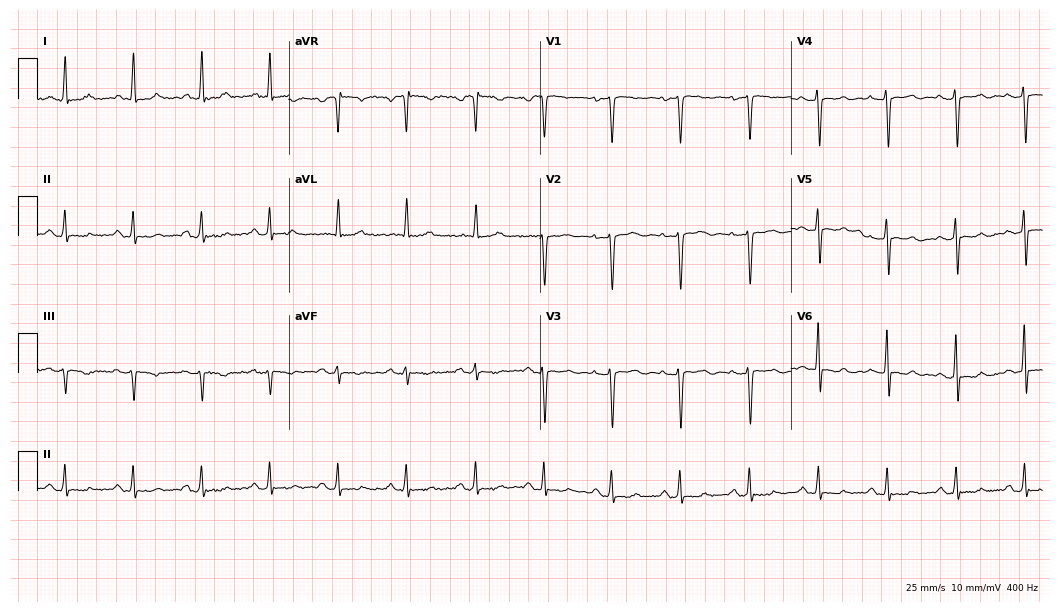
12-lead ECG from a 60-year-old male patient (10.2-second recording at 400 Hz). No first-degree AV block, right bundle branch block (RBBB), left bundle branch block (LBBB), sinus bradycardia, atrial fibrillation (AF) or sinus tachycardia recorded for this tracing. Findings outside these six are not listed.